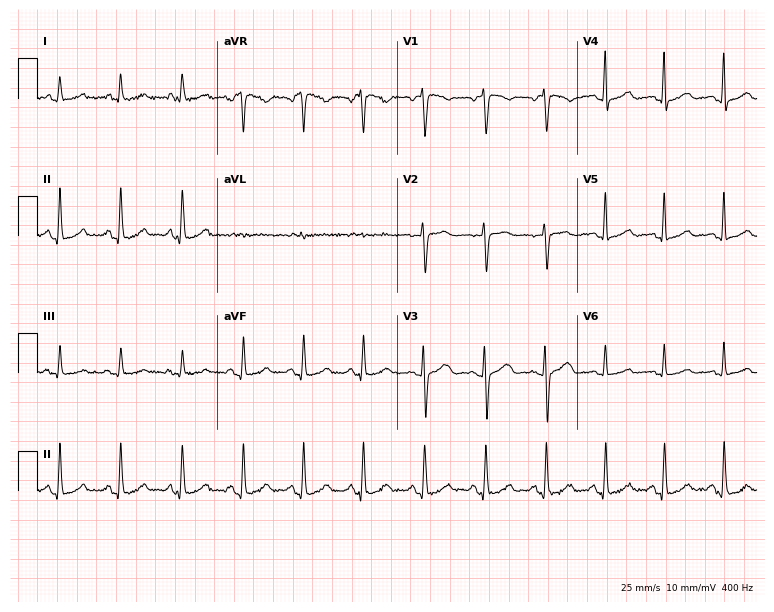
Resting 12-lead electrocardiogram (7.3-second recording at 400 Hz). Patient: a female, 34 years old. None of these six findings is recorded: first-degree AV block, right bundle branch block (RBBB), left bundle branch block (LBBB), sinus bradycardia, atrial fibrillation (AF), sinus tachycardia.